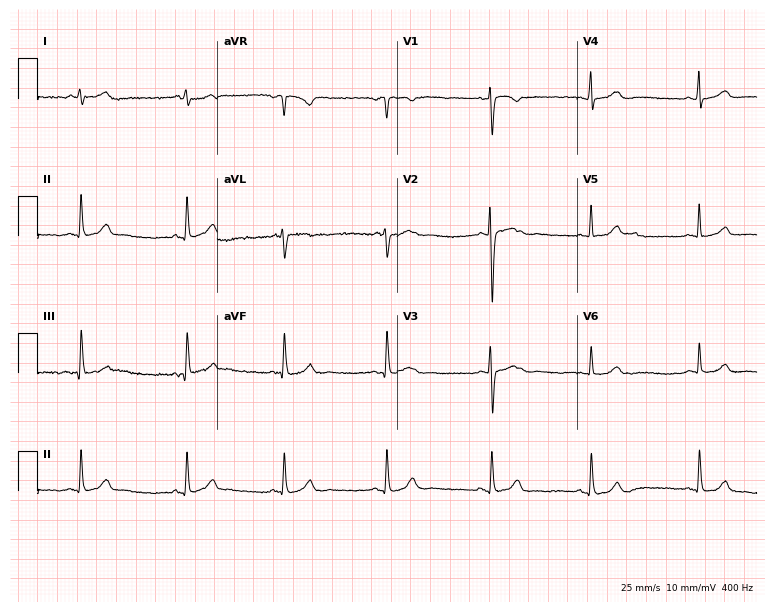
12-lead ECG from a woman, 23 years old. No first-degree AV block, right bundle branch block, left bundle branch block, sinus bradycardia, atrial fibrillation or sinus tachycardia recorded for this tracing.